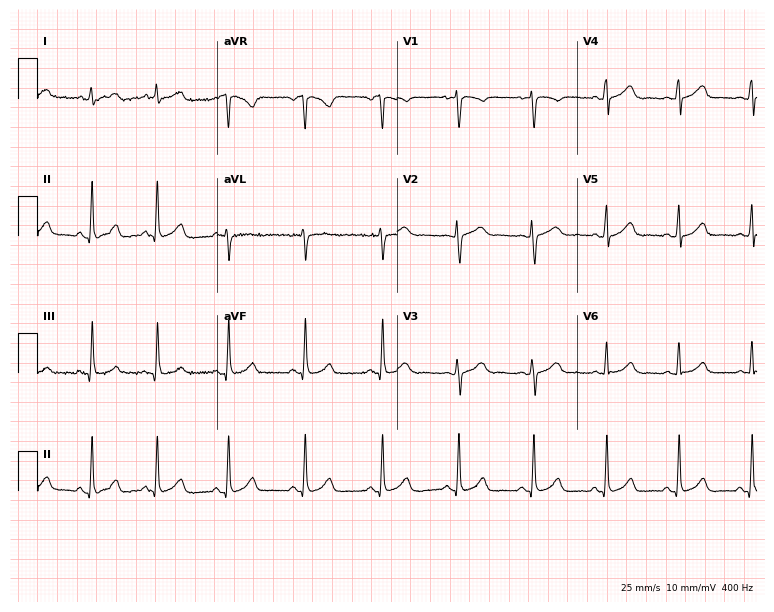
Electrocardiogram, a female patient, 32 years old. Of the six screened findings (first-degree AV block, right bundle branch block, left bundle branch block, sinus bradycardia, atrial fibrillation, sinus tachycardia), none is recorded. Only these six findings were labelled.